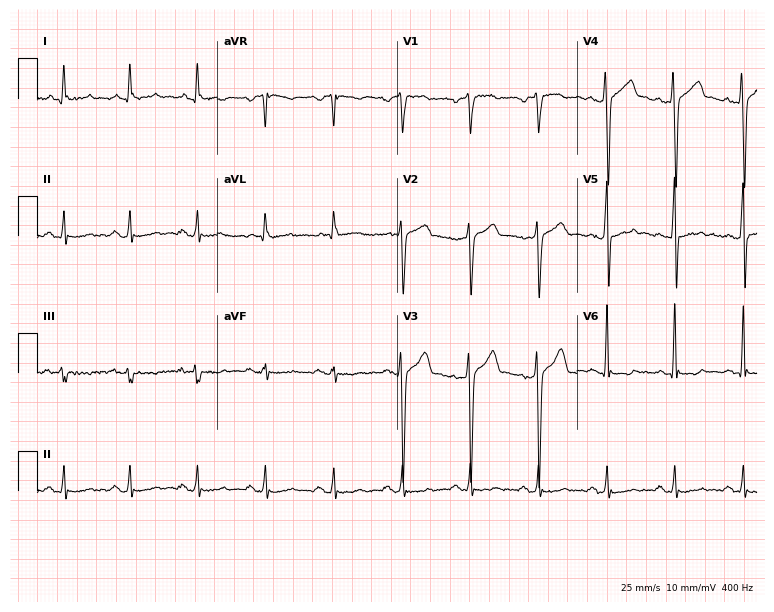
Electrocardiogram, a 44-year-old man. Of the six screened findings (first-degree AV block, right bundle branch block, left bundle branch block, sinus bradycardia, atrial fibrillation, sinus tachycardia), none is recorded.